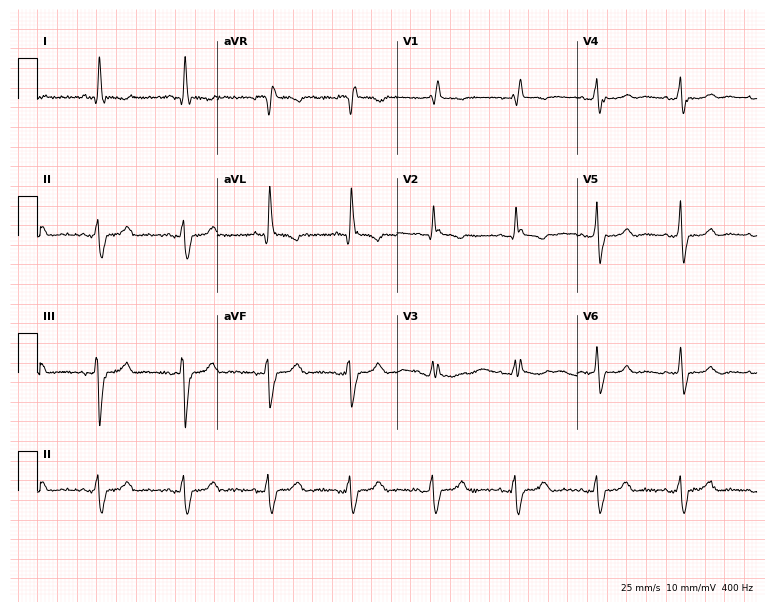
12-lead ECG from a woman, 60 years old. Findings include right bundle branch block (RBBB).